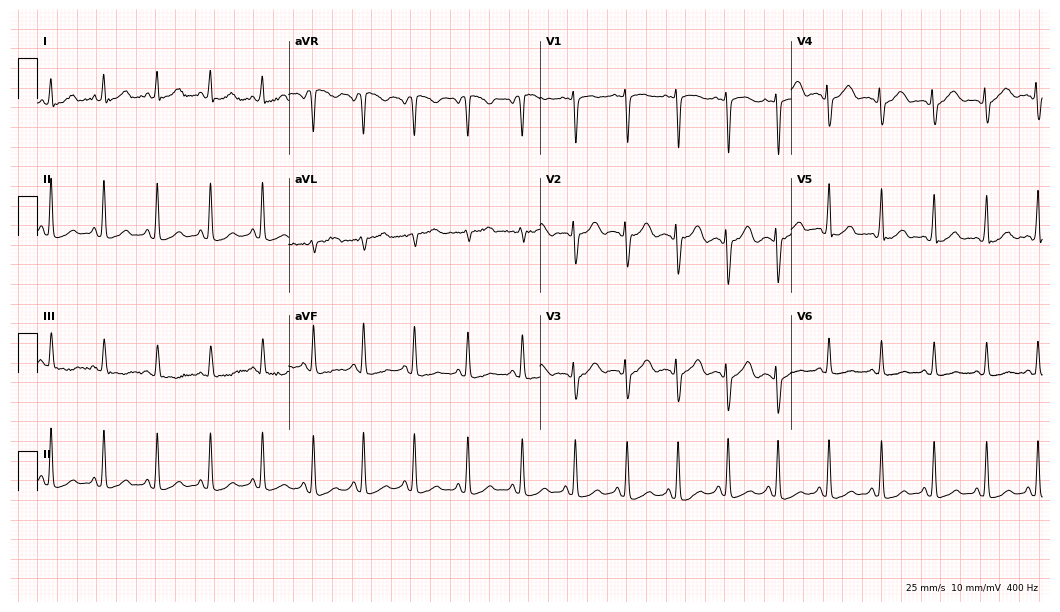
Resting 12-lead electrocardiogram (10.2-second recording at 400 Hz). Patient: a female, 19 years old. The tracing shows sinus tachycardia (a sinus rate of 100 beats per minute or more).